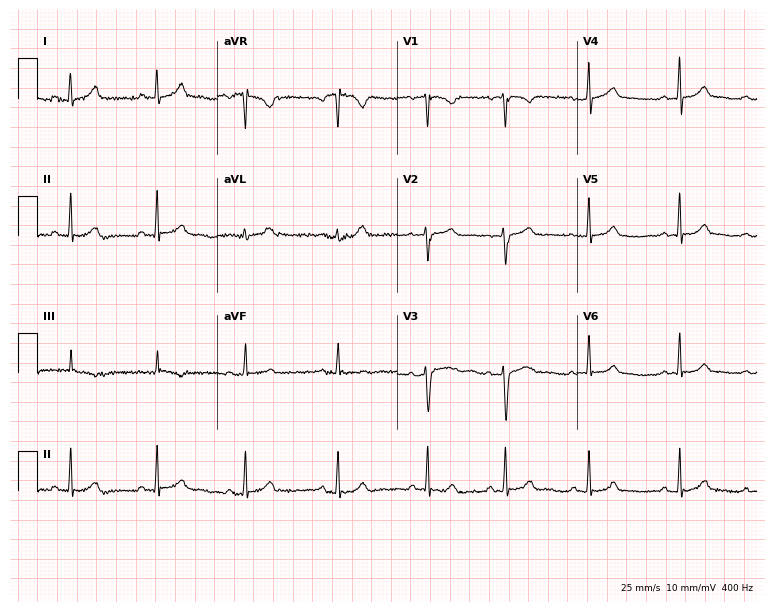
Standard 12-lead ECG recorded from a female patient, 18 years old. Read as a normal ECG.